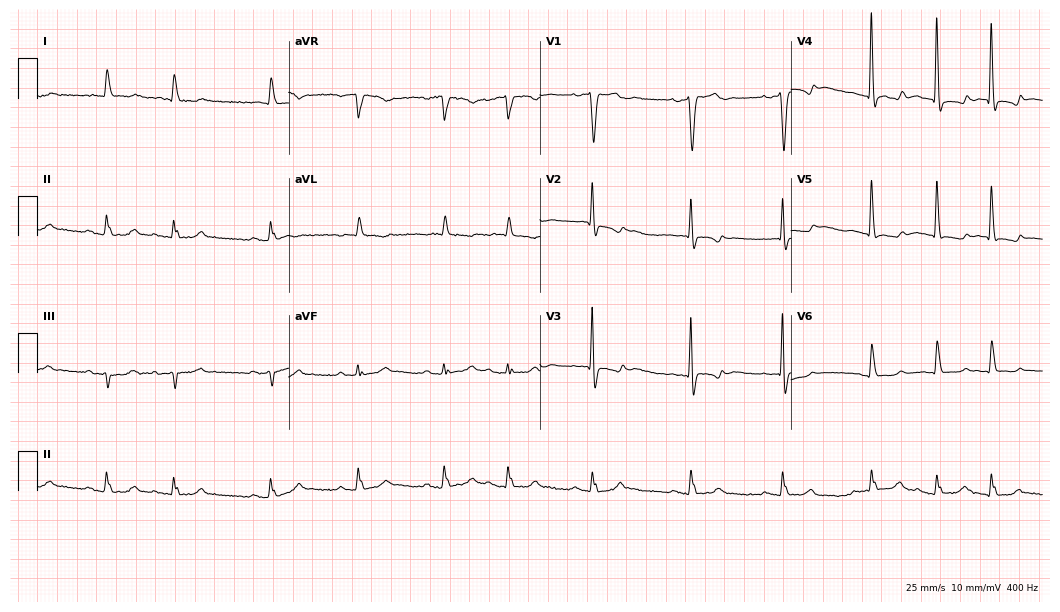
12-lead ECG from an 81-year-old male patient. No first-degree AV block, right bundle branch block (RBBB), left bundle branch block (LBBB), sinus bradycardia, atrial fibrillation (AF) or sinus tachycardia recorded for this tracing.